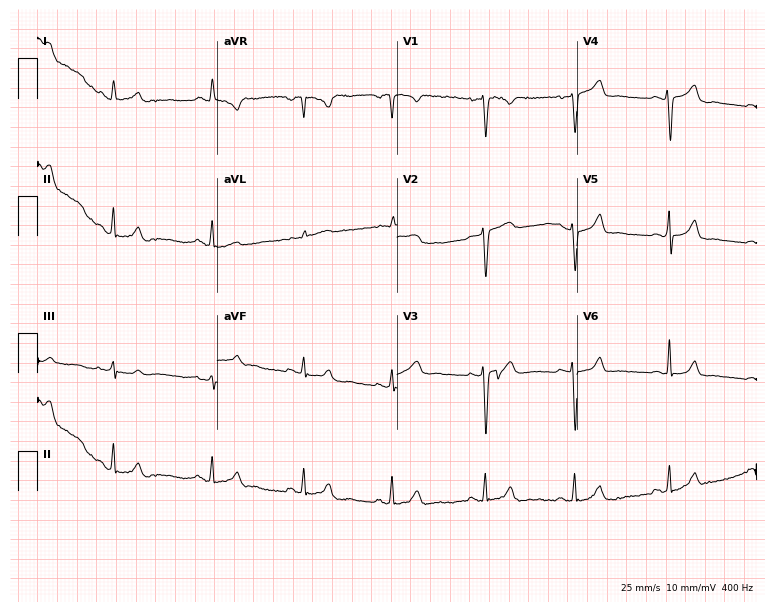
12-lead ECG (7.3-second recording at 400 Hz) from a female patient, 24 years old. Screened for six findings — first-degree AV block, right bundle branch block (RBBB), left bundle branch block (LBBB), sinus bradycardia, atrial fibrillation (AF), sinus tachycardia — none is recorded.